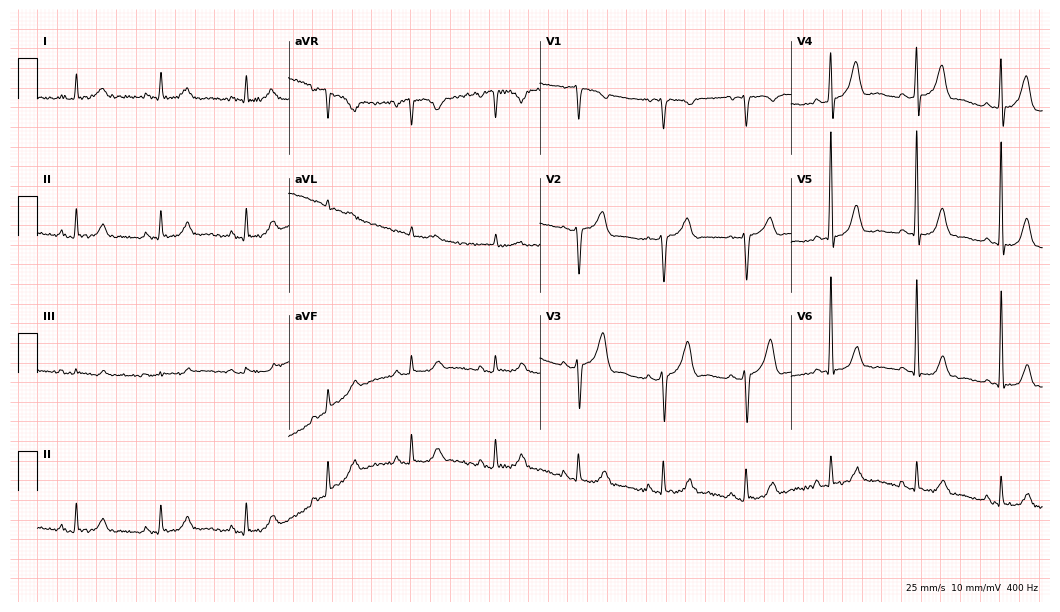
ECG — a 70-year-old male. Labelled as a normal ECG.